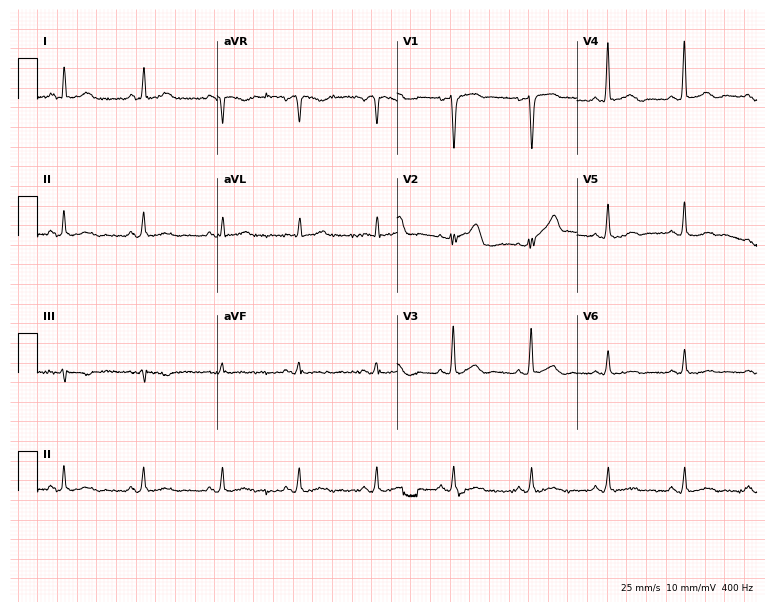
Resting 12-lead electrocardiogram. Patient: a 65-year-old male. Read as a normal ECG.